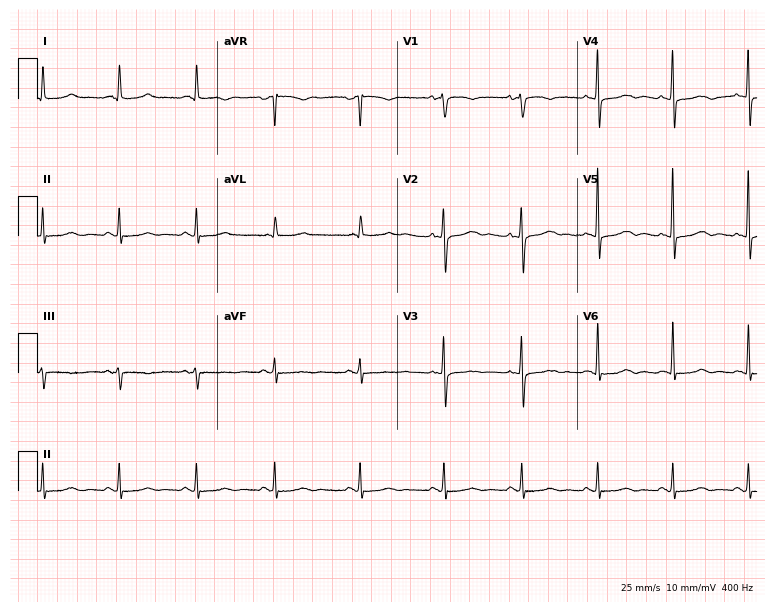
Standard 12-lead ECG recorded from a 73-year-old woman (7.3-second recording at 400 Hz). None of these six findings is recorded: first-degree AV block, right bundle branch block, left bundle branch block, sinus bradycardia, atrial fibrillation, sinus tachycardia.